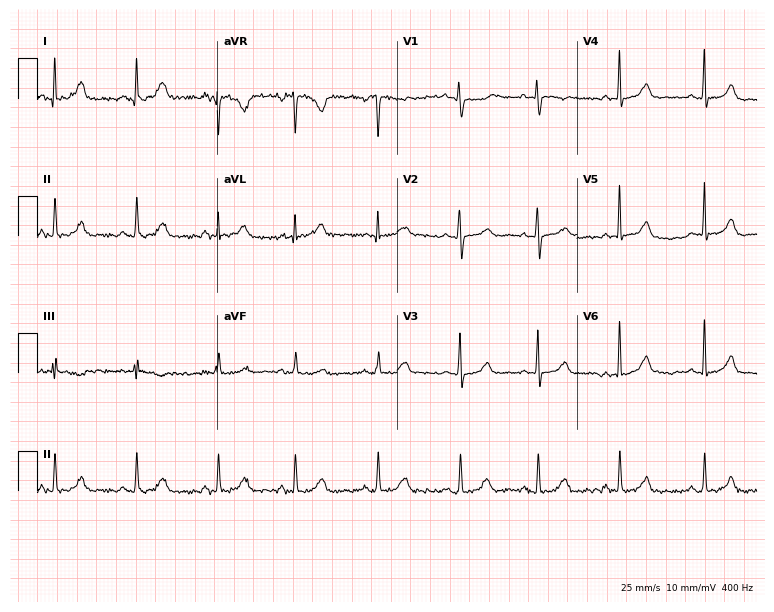
12-lead ECG (7.3-second recording at 400 Hz) from a 36-year-old female patient. Labelled as a normal ECG.